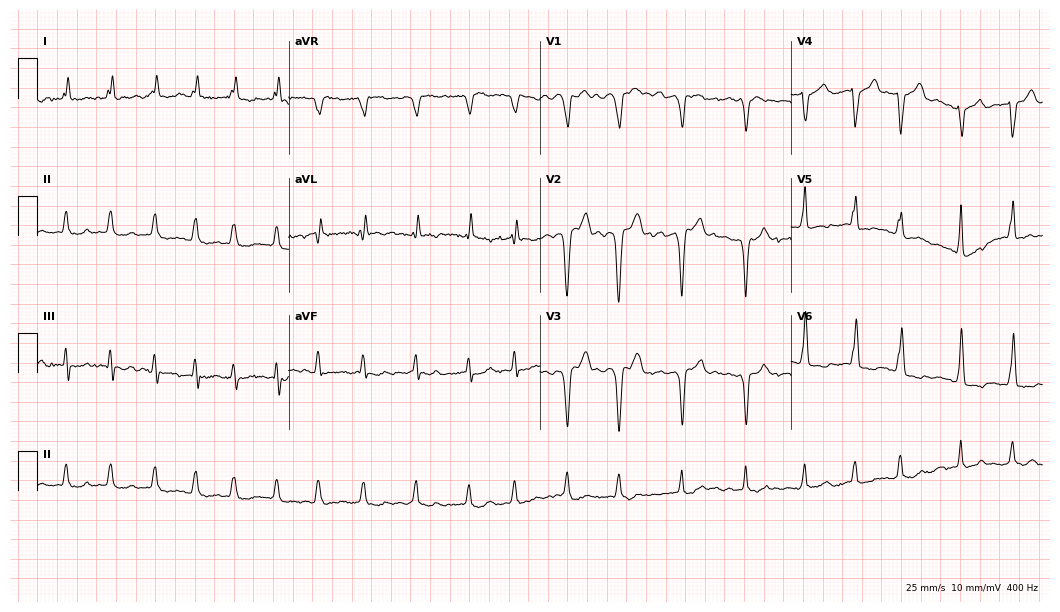
Standard 12-lead ECG recorded from a man, 82 years old. The tracing shows atrial fibrillation.